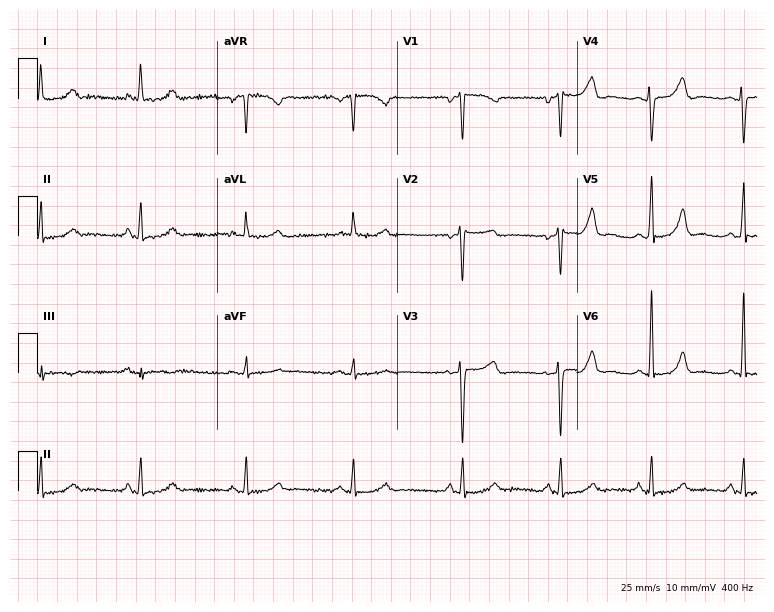
Electrocardiogram, a female, 37 years old. Of the six screened findings (first-degree AV block, right bundle branch block (RBBB), left bundle branch block (LBBB), sinus bradycardia, atrial fibrillation (AF), sinus tachycardia), none is recorded.